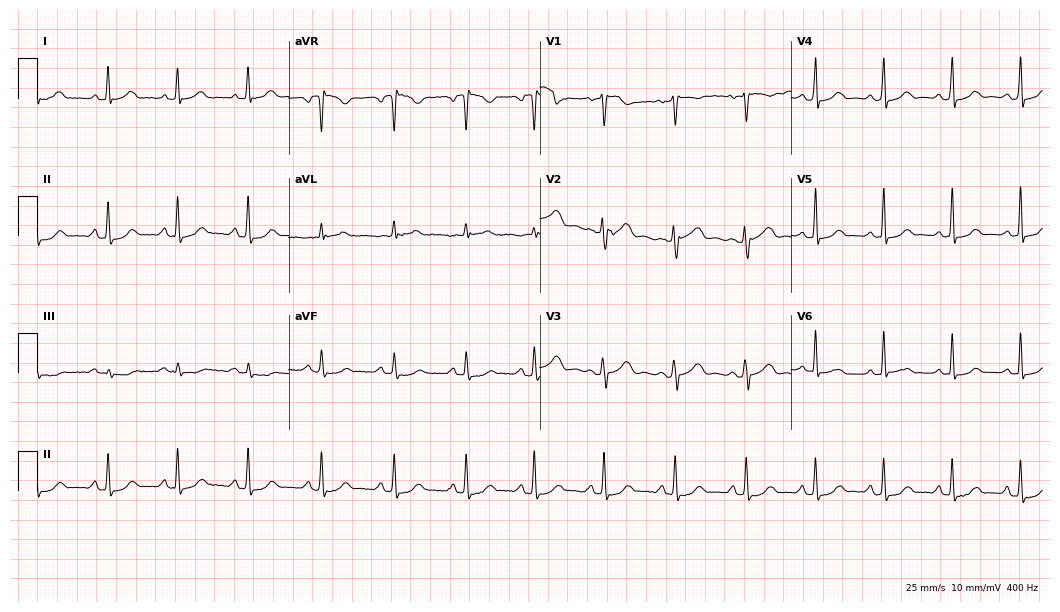
ECG — a 32-year-old female patient. Labelled as a normal ECG.